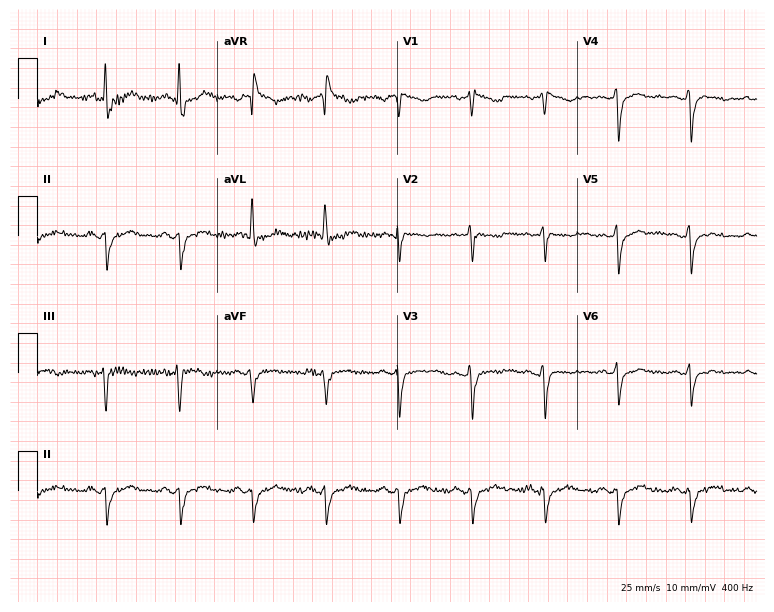
Electrocardiogram, a 54-year-old woman. Of the six screened findings (first-degree AV block, right bundle branch block (RBBB), left bundle branch block (LBBB), sinus bradycardia, atrial fibrillation (AF), sinus tachycardia), none is recorded.